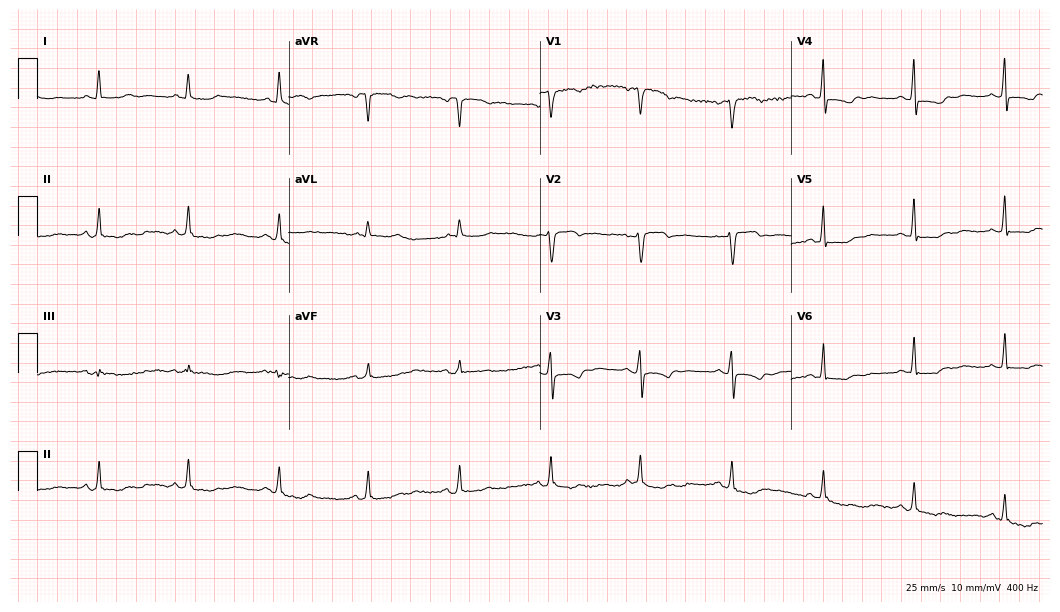
12-lead ECG (10.2-second recording at 400 Hz) from a woman, 67 years old. Screened for six findings — first-degree AV block, right bundle branch block, left bundle branch block, sinus bradycardia, atrial fibrillation, sinus tachycardia — none is recorded.